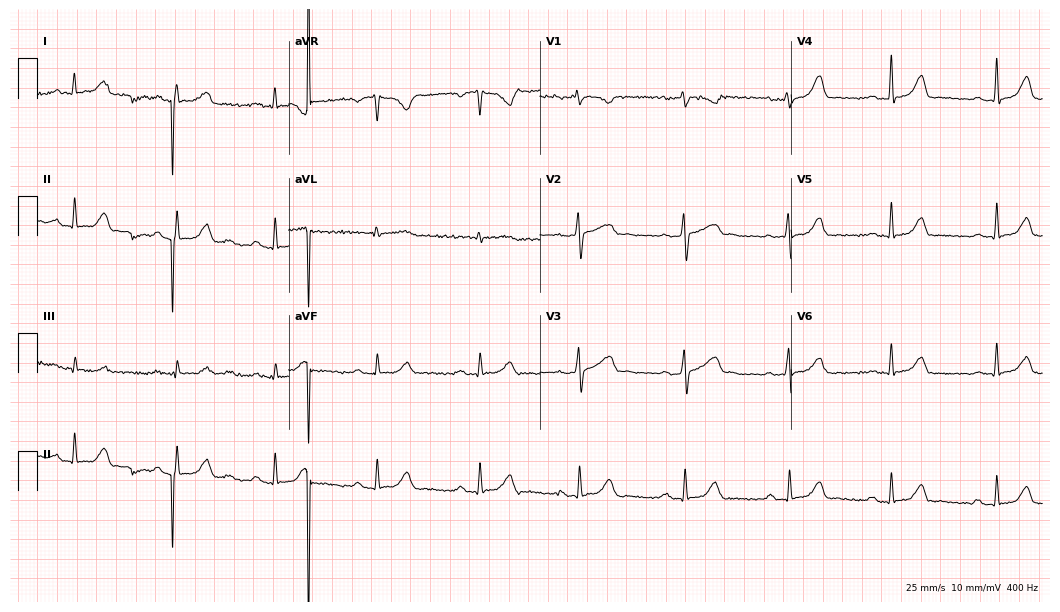
Standard 12-lead ECG recorded from a 32-year-old woman. Read as a normal ECG.